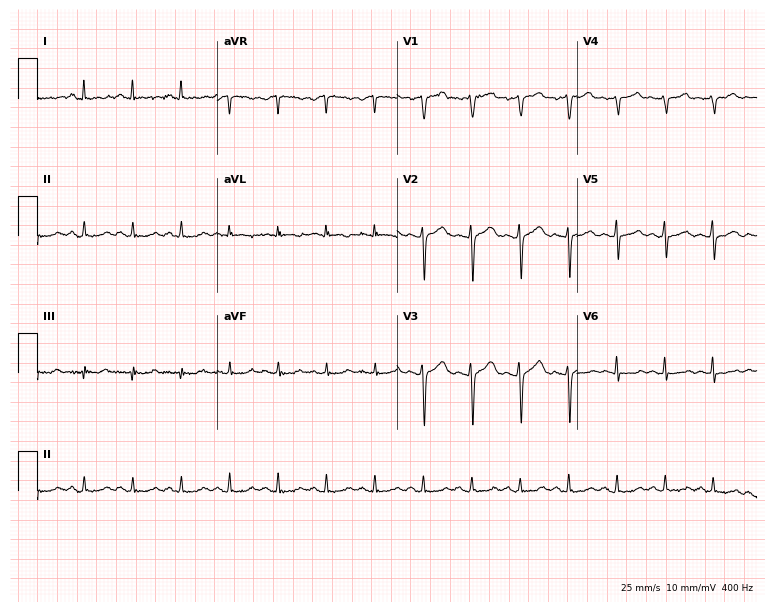
12-lead ECG from a female, 37 years old. Findings include sinus tachycardia (a sinus rate of 100 beats per minute or more).